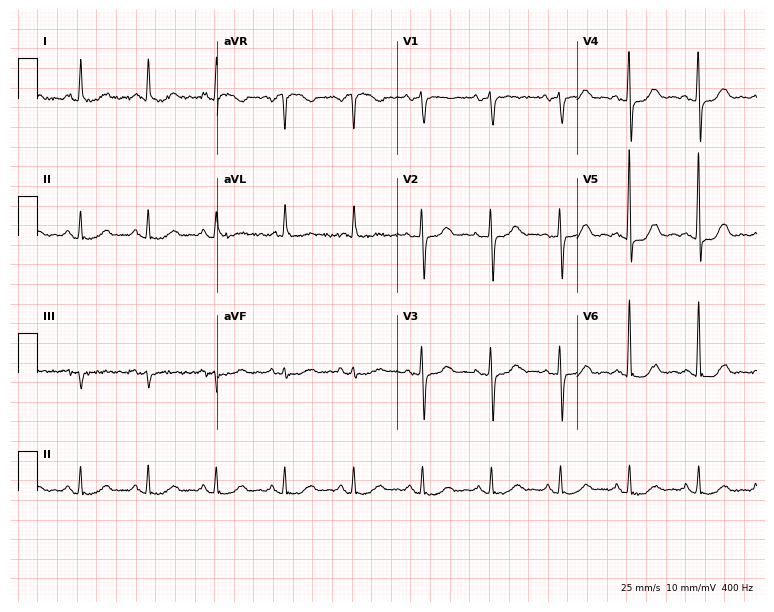
Electrocardiogram (7.3-second recording at 400 Hz), a female, 84 years old. Of the six screened findings (first-degree AV block, right bundle branch block (RBBB), left bundle branch block (LBBB), sinus bradycardia, atrial fibrillation (AF), sinus tachycardia), none is recorded.